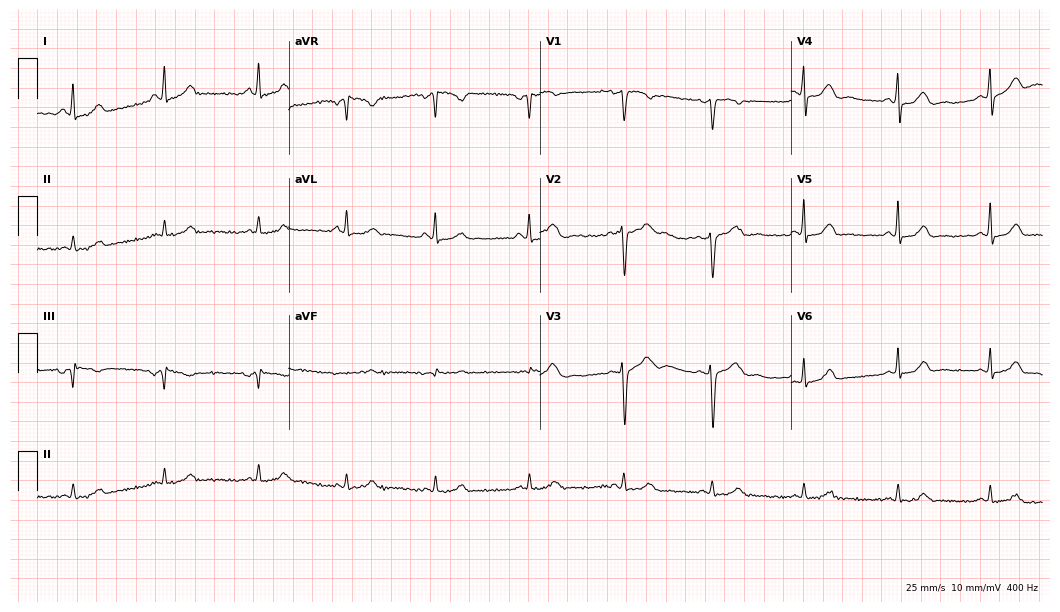
ECG — a 32-year-old woman. Screened for six findings — first-degree AV block, right bundle branch block (RBBB), left bundle branch block (LBBB), sinus bradycardia, atrial fibrillation (AF), sinus tachycardia — none is recorded. Findings outside these six are not listed.